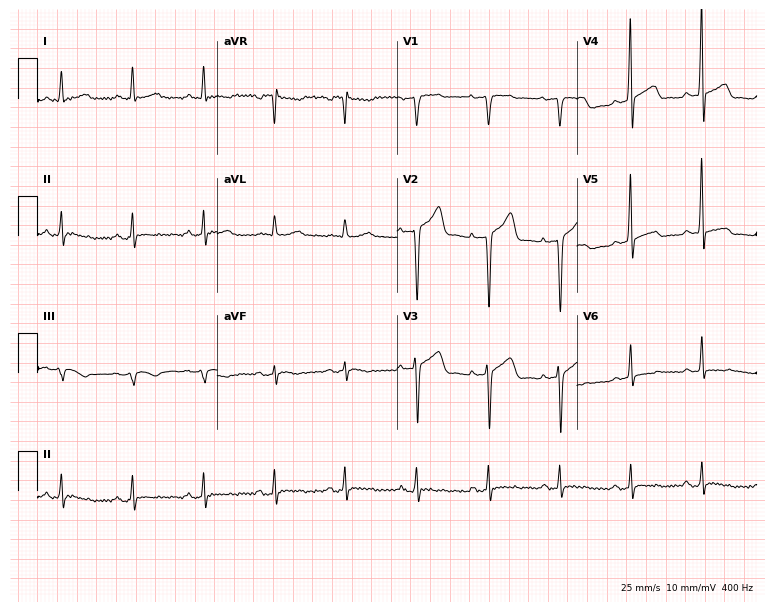
12-lead ECG from a 49-year-old male patient (7.3-second recording at 400 Hz). No first-degree AV block, right bundle branch block, left bundle branch block, sinus bradycardia, atrial fibrillation or sinus tachycardia recorded for this tracing.